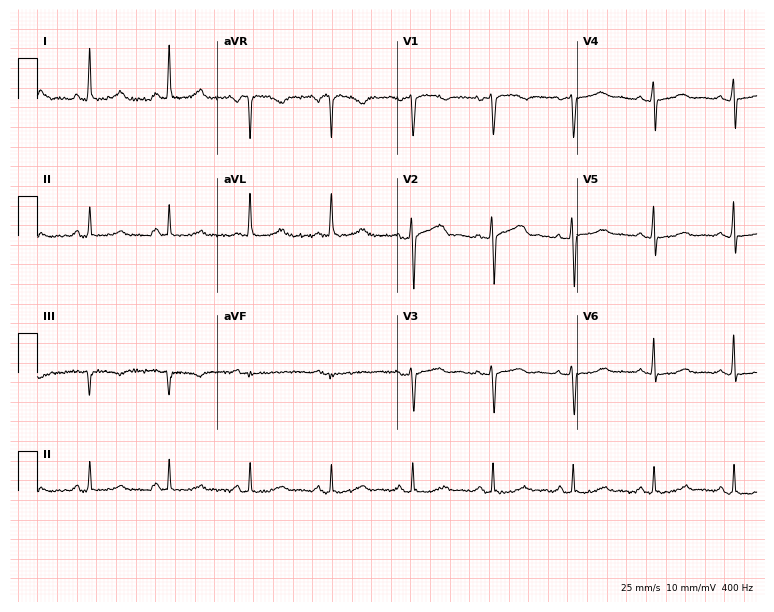
Electrocardiogram, a woman, 45 years old. Overall reading on record: normal ECG.